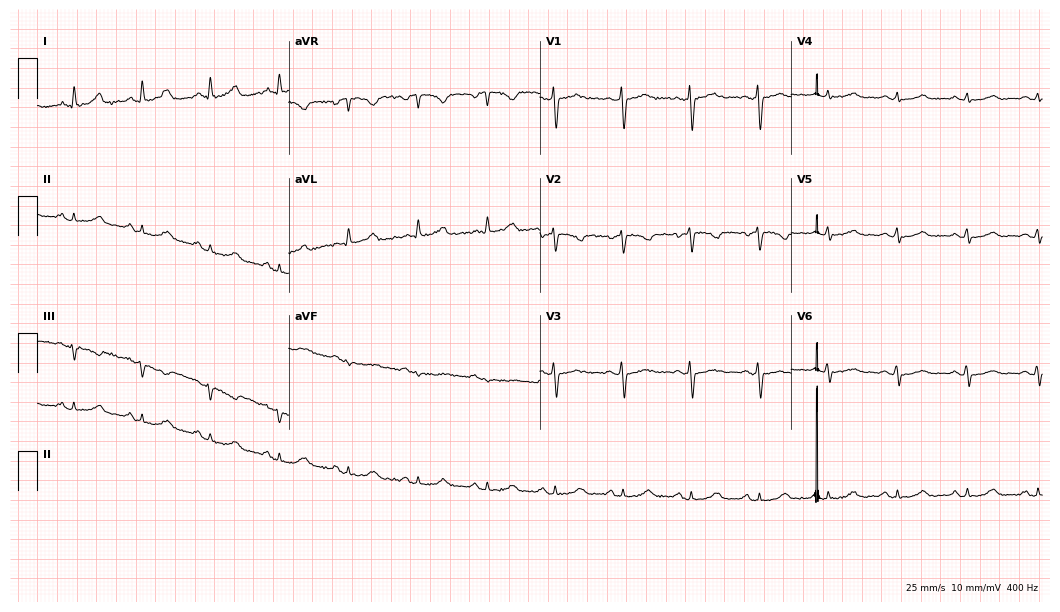
12-lead ECG from a female patient, 45 years old (10.2-second recording at 400 Hz). No first-degree AV block, right bundle branch block, left bundle branch block, sinus bradycardia, atrial fibrillation or sinus tachycardia recorded for this tracing.